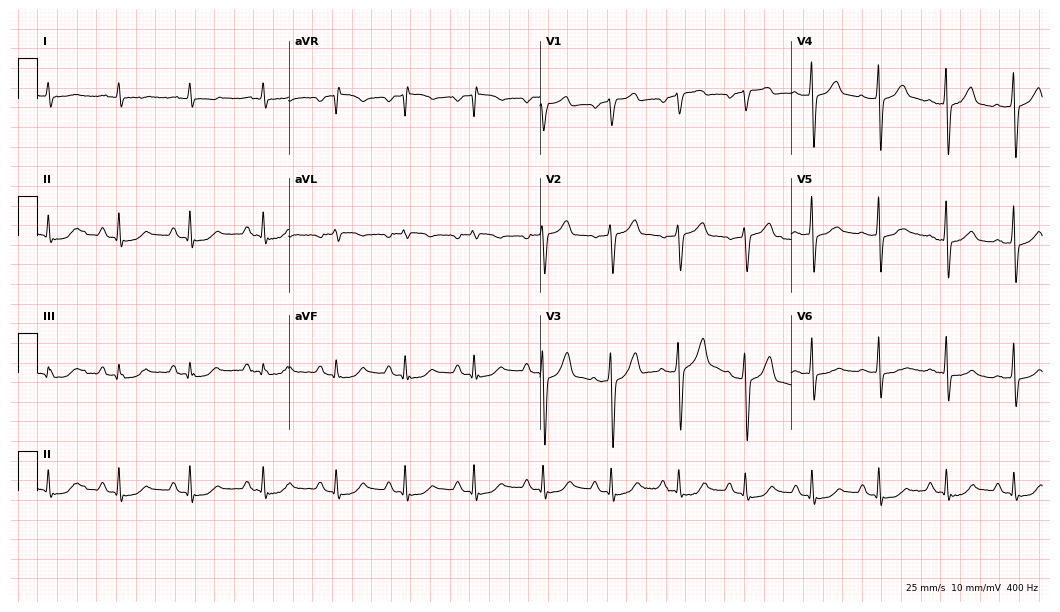
Resting 12-lead electrocardiogram (10.2-second recording at 400 Hz). Patient: a male, 78 years old. None of these six findings is recorded: first-degree AV block, right bundle branch block, left bundle branch block, sinus bradycardia, atrial fibrillation, sinus tachycardia.